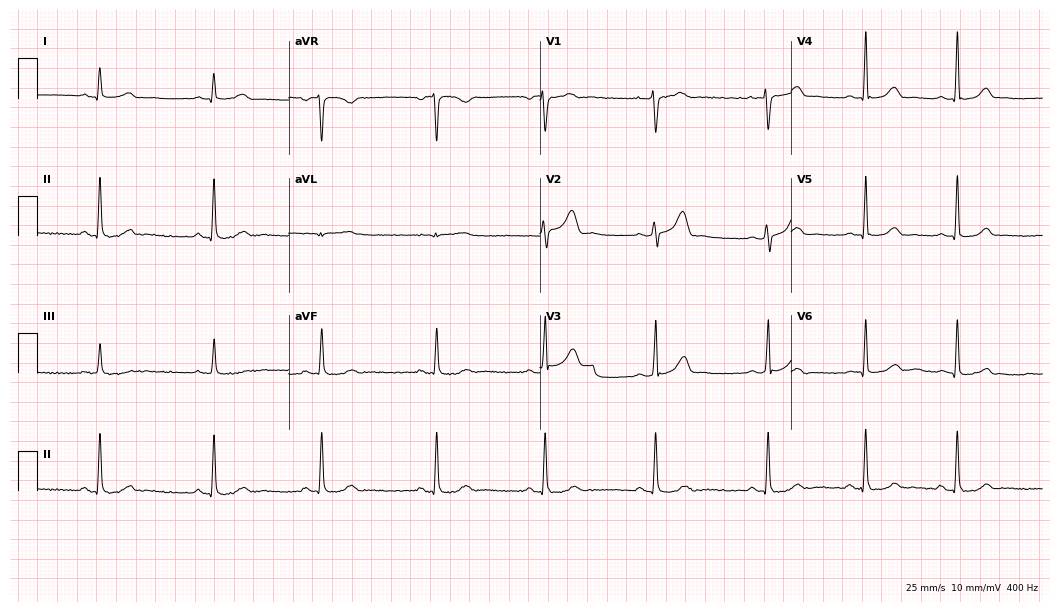
12-lead ECG from a 31-year-old woman. No first-degree AV block, right bundle branch block, left bundle branch block, sinus bradycardia, atrial fibrillation or sinus tachycardia recorded for this tracing.